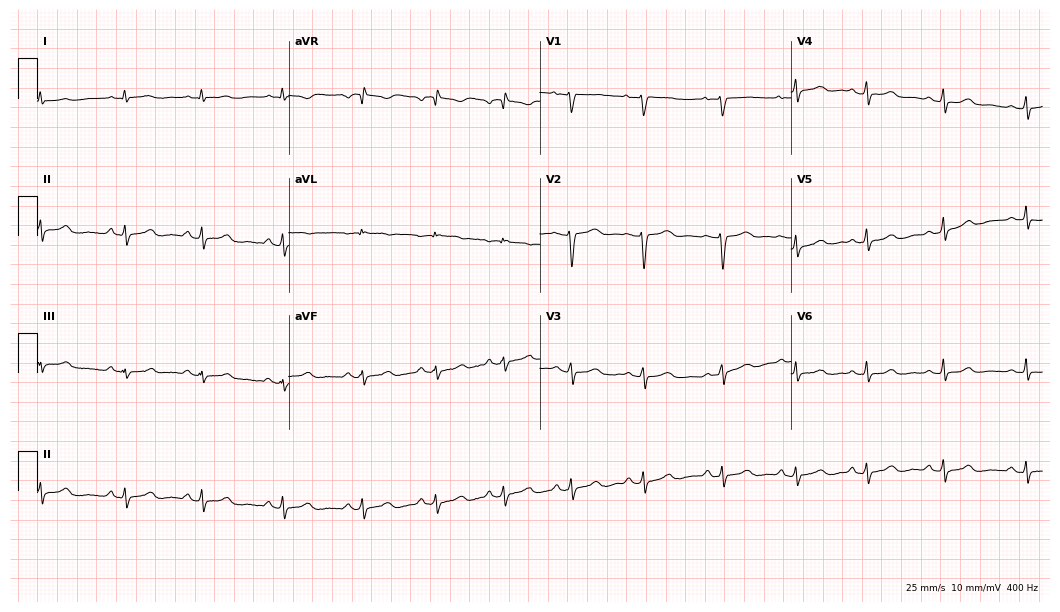
Standard 12-lead ECG recorded from a female, 28 years old (10.2-second recording at 400 Hz). Read as a normal ECG.